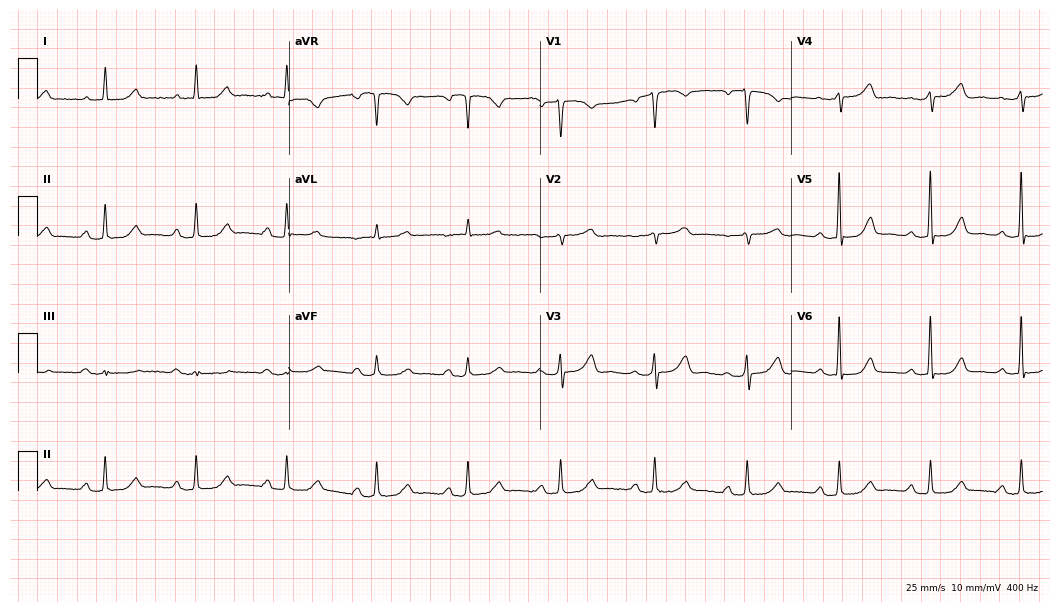
Standard 12-lead ECG recorded from a female patient, 80 years old. The tracing shows first-degree AV block.